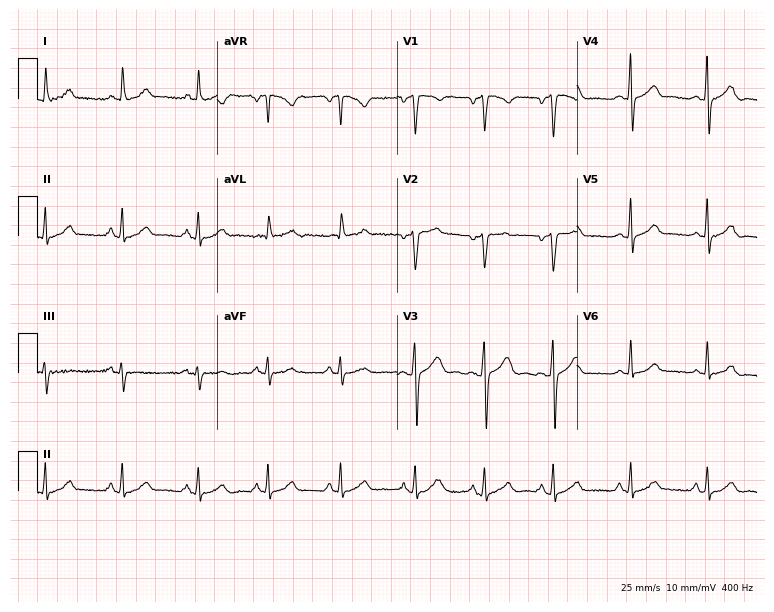
Resting 12-lead electrocardiogram (7.3-second recording at 400 Hz). Patient: a 37-year-old female. Read as a normal ECG.